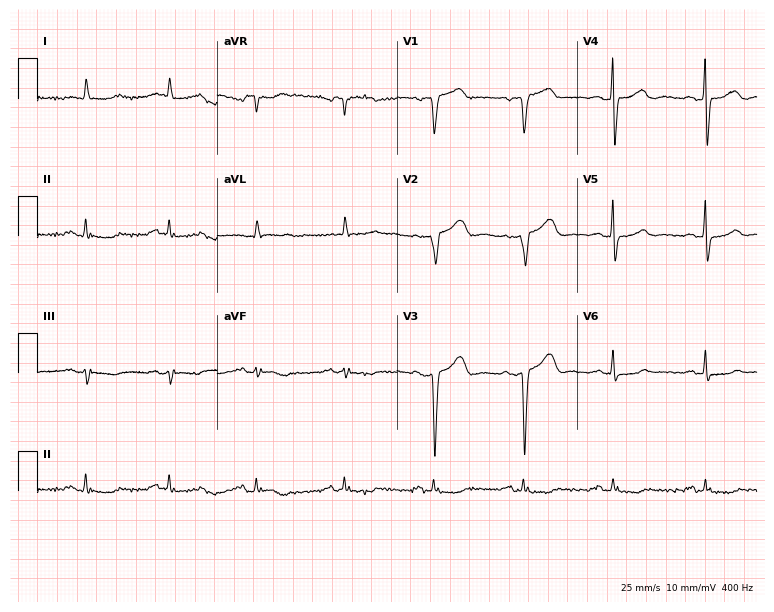
12-lead ECG from a male patient, 69 years old (7.3-second recording at 400 Hz). No first-degree AV block, right bundle branch block (RBBB), left bundle branch block (LBBB), sinus bradycardia, atrial fibrillation (AF) or sinus tachycardia recorded for this tracing. Other findings, if any, are not listed.